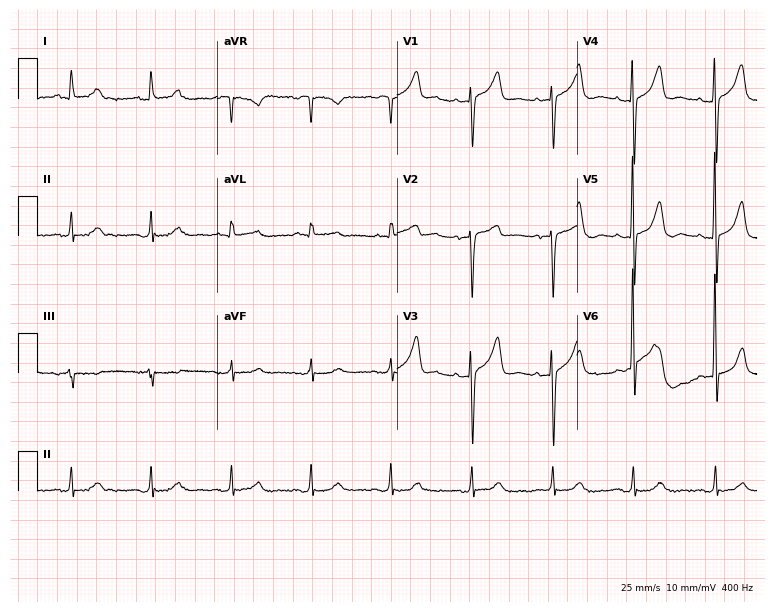
Electrocardiogram (7.3-second recording at 400 Hz), a male, 76 years old. Overall reading on record: normal ECG.